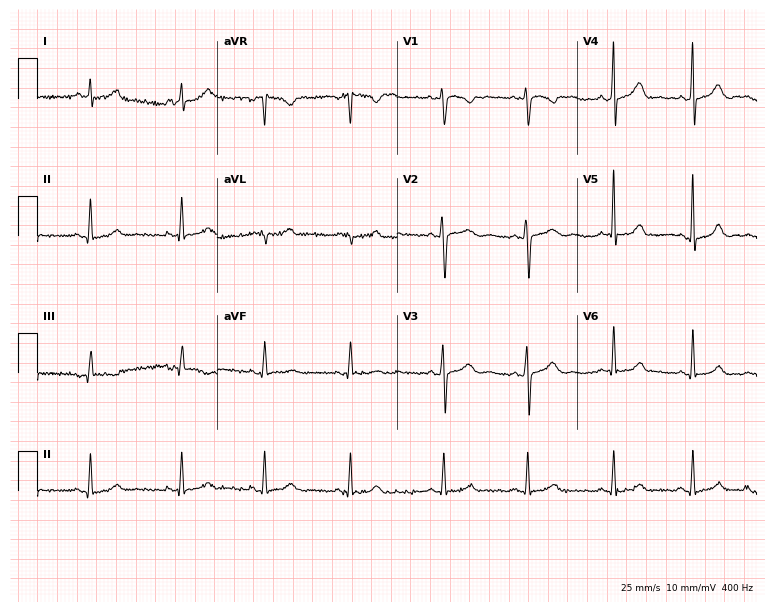
Resting 12-lead electrocardiogram. Patient: a female, 19 years old. None of these six findings is recorded: first-degree AV block, right bundle branch block, left bundle branch block, sinus bradycardia, atrial fibrillation, sinus tachycardia.